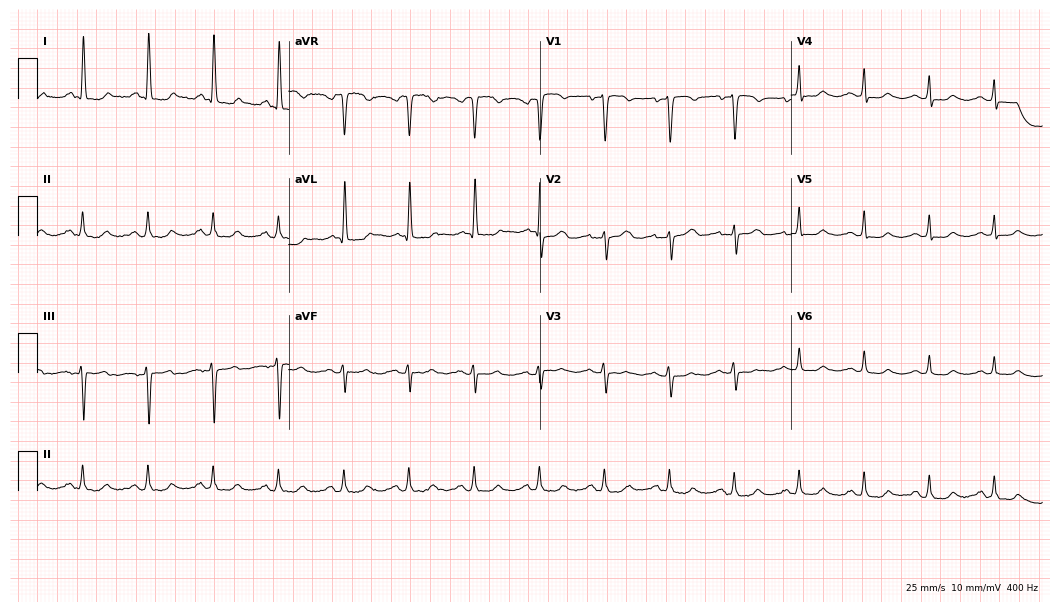
12-lead ECG from a female, 58 years old (10.2-second recording at 400 Hz). Recorded interpretation: within normal limits.